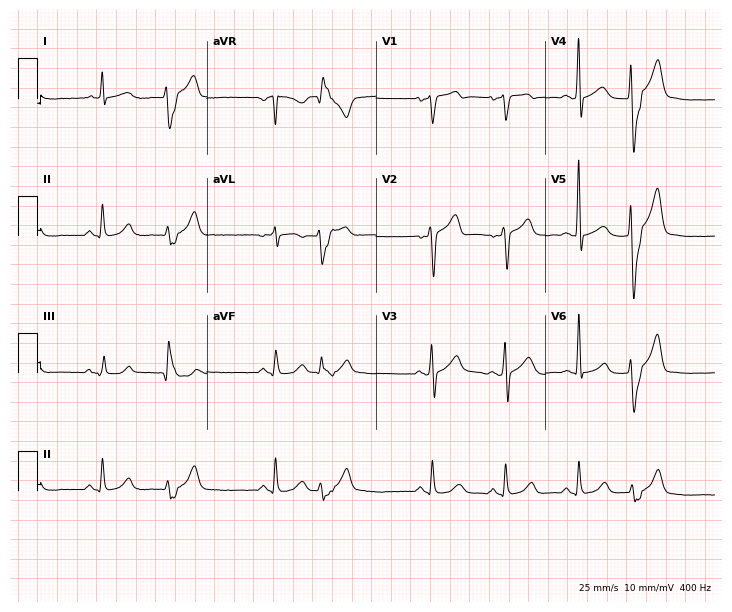
12-lead ECG from a 54-year-old male. No first-degree AV block, right bundle branch block, left bundle branch block, sinus bradycardia, atrial fibrillation or sinus tachycardia recorded for this tracing. Other findings, if any, are not listed.